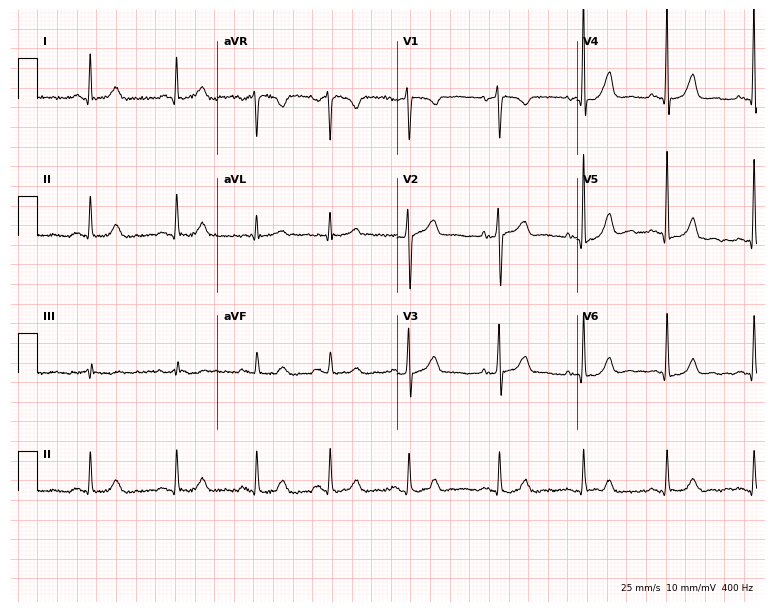
12-lead ECG (7.3-second recording at 400 Hz) from a 39-year-old male. Screened for six findings — first-degree AV block, right bundle branch block, left bundle branch block, sinus bradycardia, atrial fibrillation, sinus tachycardia — none is recorded.